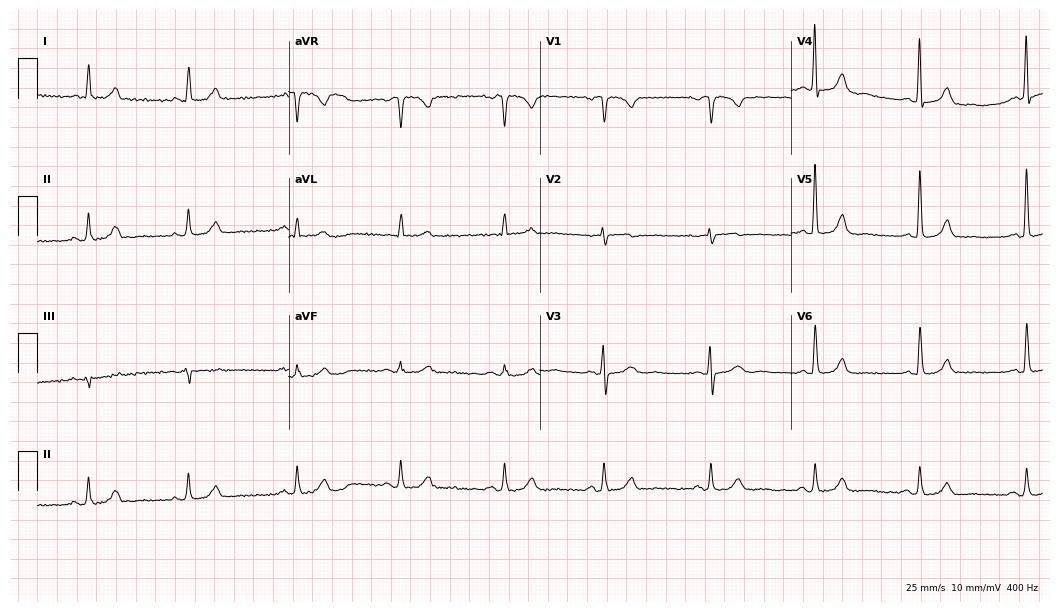
ECG (10.2-second recording at 400 Hz) — a 76-year-old female. Labelled as a normal ECG.